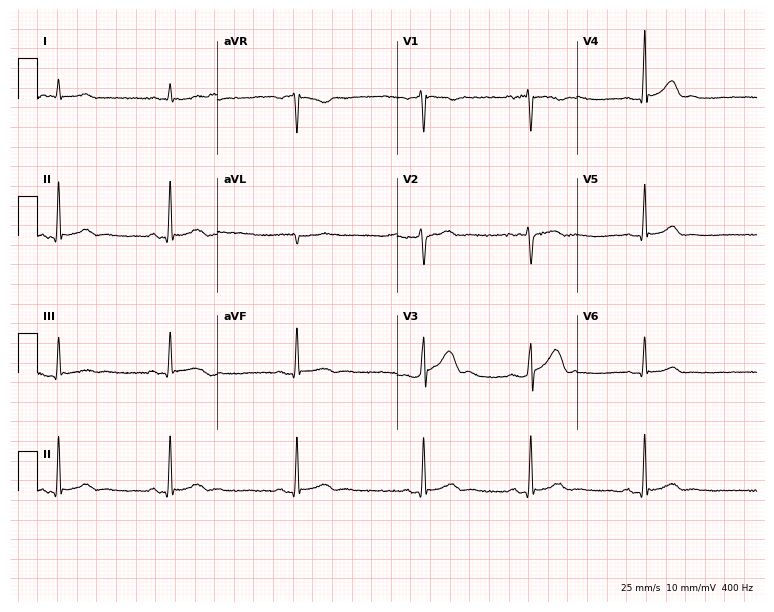
12-lead ECG from a 31-year-old male (7.3-second recording at 400 Hz). No first-degree AV block, right bundle branch block, left bundle branch block, sinus bradycardia, atrial fibrillation or sinus tachycardia recorded for this tracing. Only these six findings were labelled.